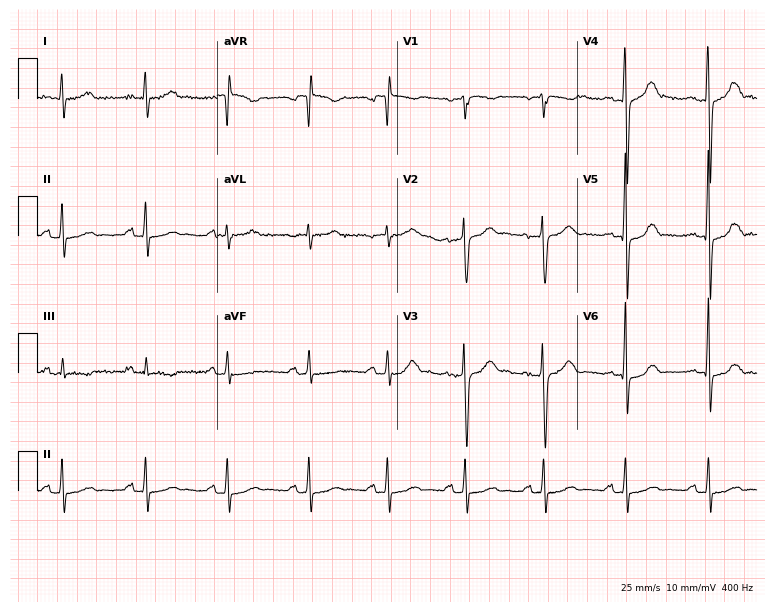
Resting 12-lead electrocardiogram. Patient: a man, 32 years old. None of these six findings is recorded: first-degree AV block, right bundle branch block, left bundle branch block, sinus bradycardia, atrial fibrillation, sinus tachycardia. Only these six findings were labelled.